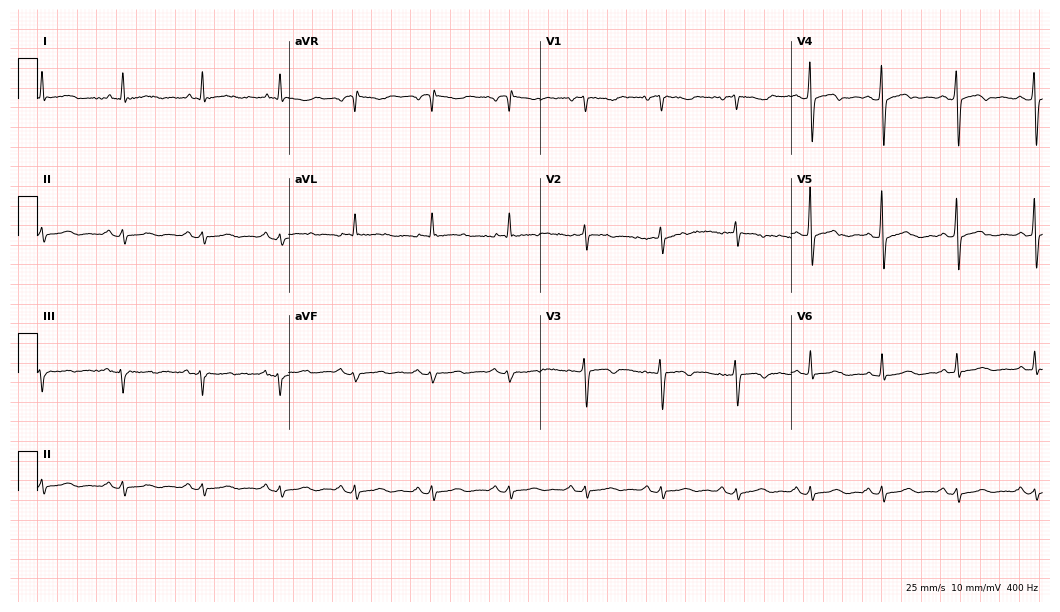
Standard 12-lead ECG recorded from a 64-year-old female patient. None of these six findings is recorded: first-degree AV block, right bundle branch block, left bundle branch block, sinus bradycardia, atrial fibrillation, sinus tachycardia. Other findings, if any, are not listed.